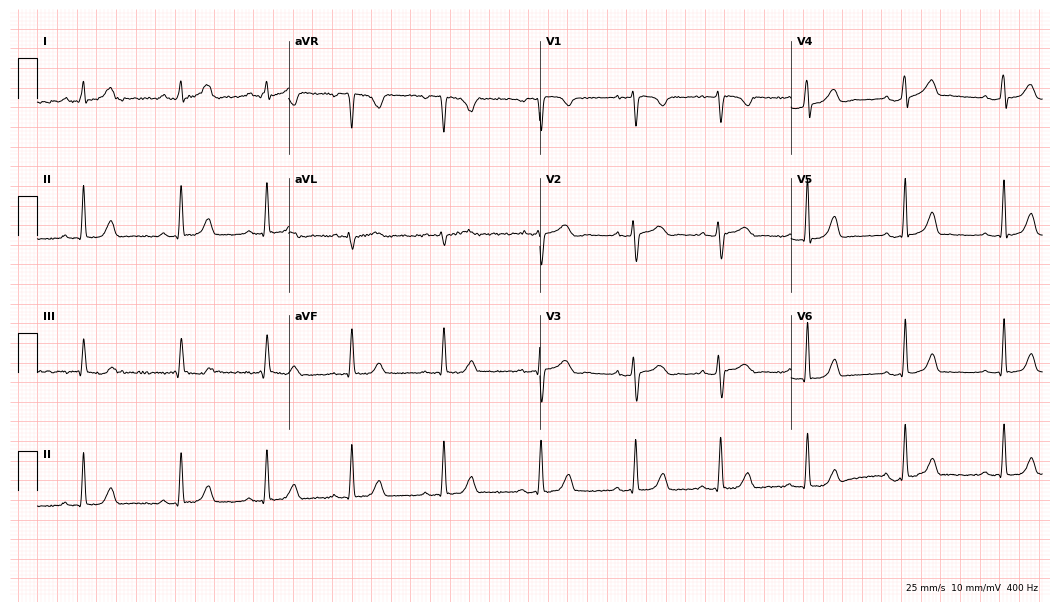
Standard 12-lead ECG recorded from a female patient, 27 years old (10.2-second recording at 400 Hz). Read as a normal ECG.